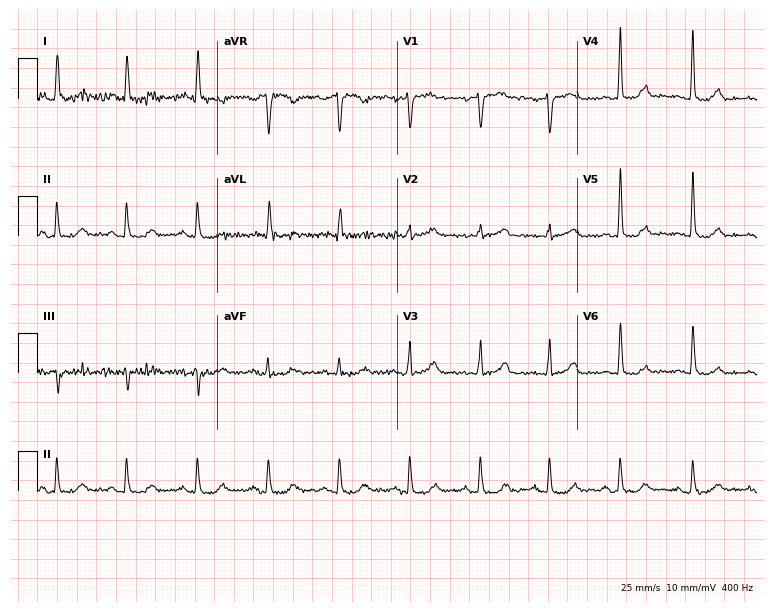
Resting 12-lead electrocardiogram. Patient: an 83-year-old female. None of these six findings is recorded: first-degree AV block, right bundle branch block, left bundle branch block, sinus bradycardia, atrial fibrillation, sinus tachycardia. Findings outside these six are not listed.